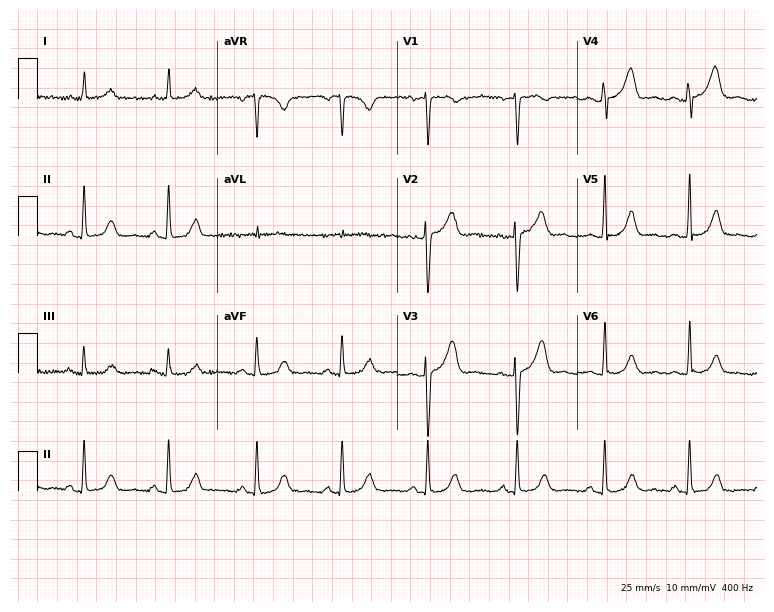
Electrocardiogram, a 36-year-old female. Of the six screened findings (first-degree AV block, right bundle branch block, left bundle branch block, sinus bradycardia, atrial fibrillation, sinus tachycardia), none is recorded. Findings outside these six are not listed.